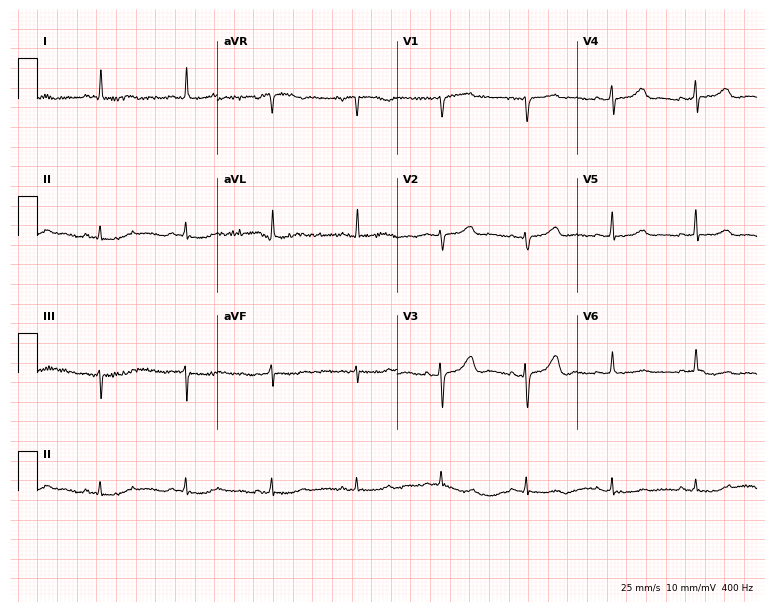
Electrocardiogram, a 61-year-old female. Of the six screened findings (first-degree AV block, right bundle branch block, left bundle branch block, sinus bradycardia, atrial fibrillation, sinus tachycardia), none is recorded.